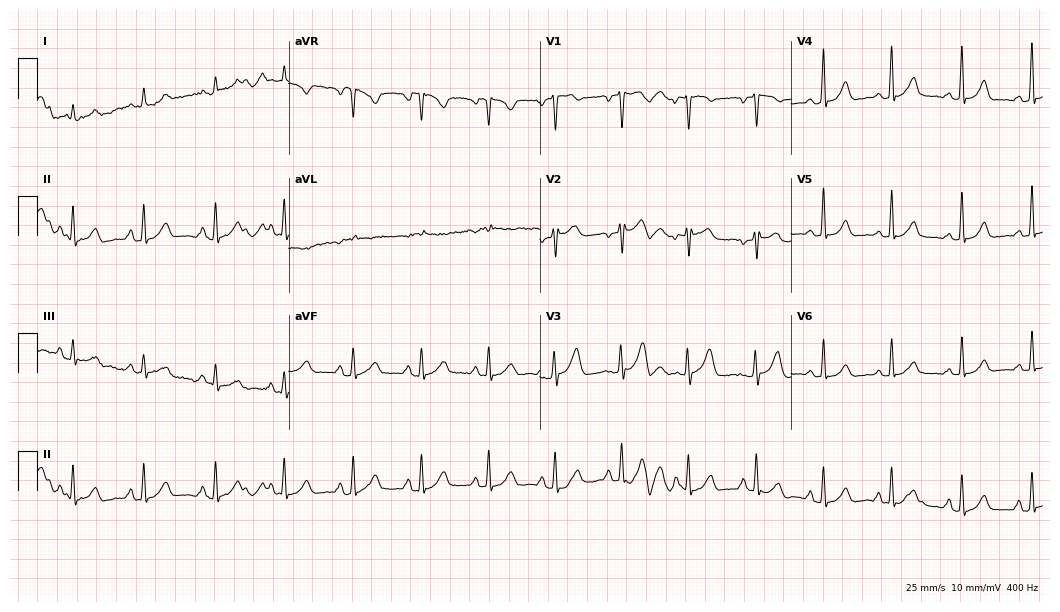
ECG (10.2-second recording at 400 Hz) — a 51-year-old woman. Labelled as a normal ECG.